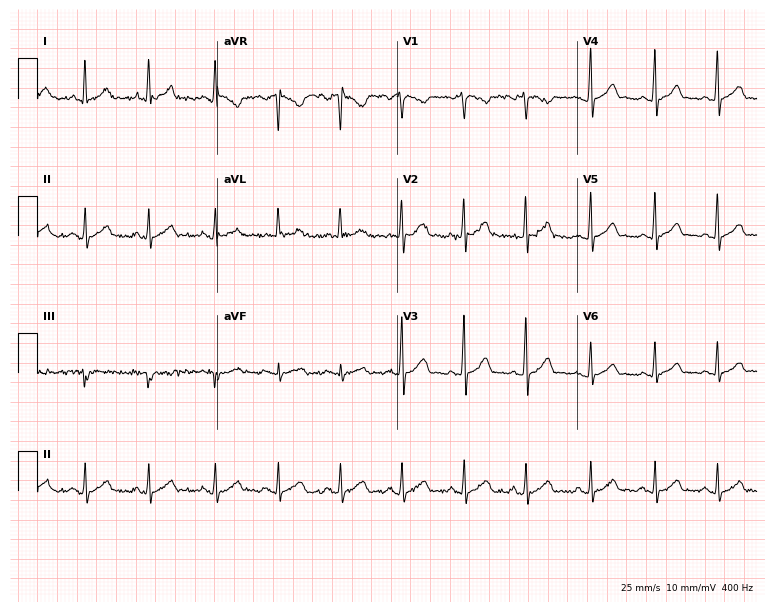
Resting 12-lead electrocardiogram (7.3-second recording at 400 Hz). Patient: a male, 38 years old. Read as a normal ECG.